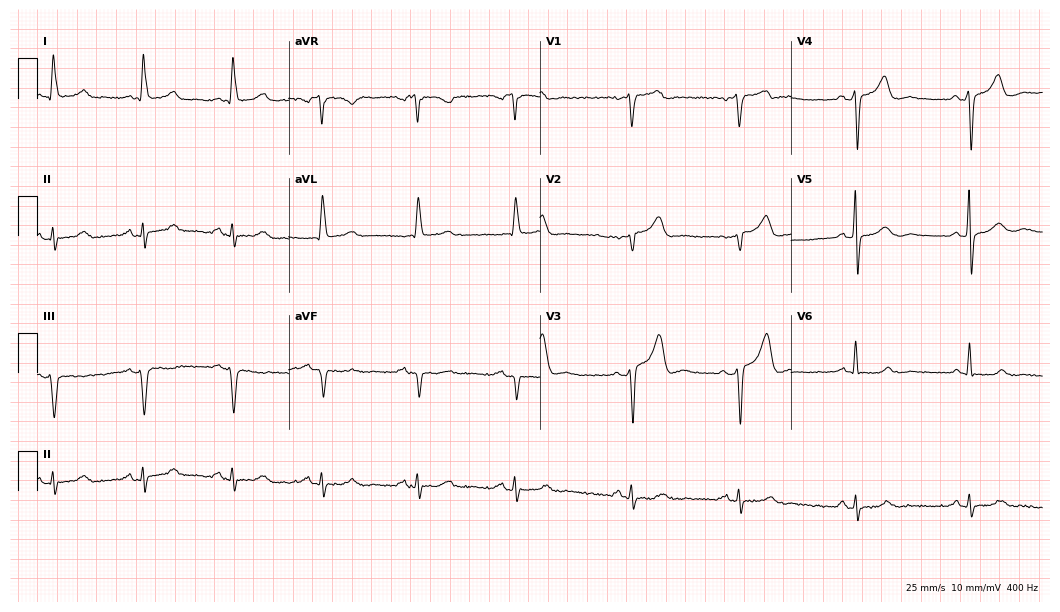
Resting 12-lead electrocardiogram (10.2-second recording at 400 Hz). Patient: a male, 78 years old. None of these six findings is recorded: first-degree AV block, right bundle branch block (RBBB), left bundle branch block (LBBB), sinus bradycardia, atrial fibrillation (AF), sinus tachycardia.